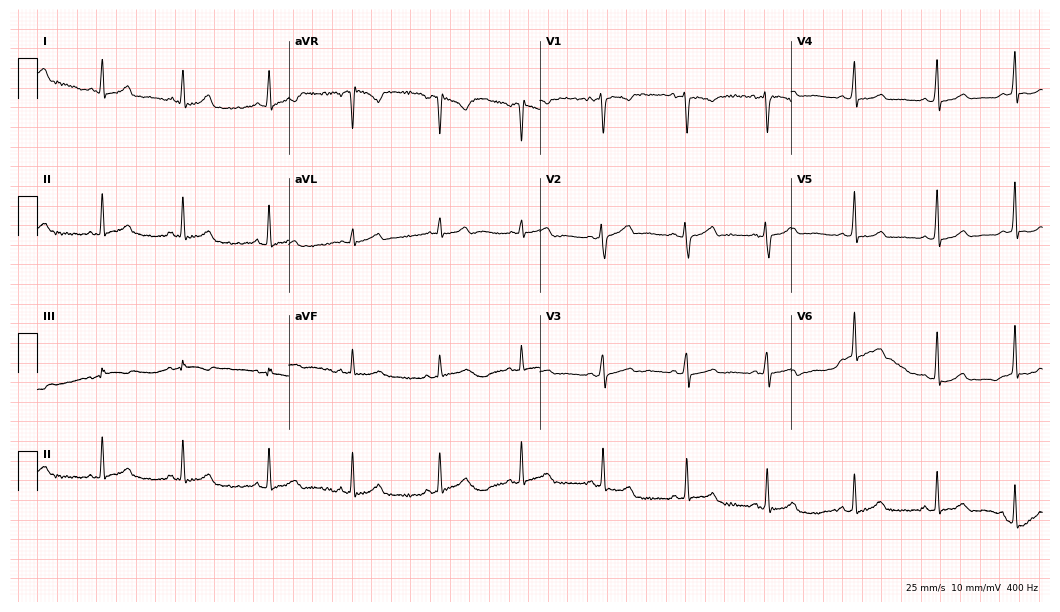
Resting 12-lead electrocardiogram. Patient: a 30-year-old woman. None of these six findings is recorded: first-degree AV block, right bundle branch block, left bundle branch block, sinus bradycardia, atrial fibrillation, sinus tachycardia. Other findings, if any, are not listed.